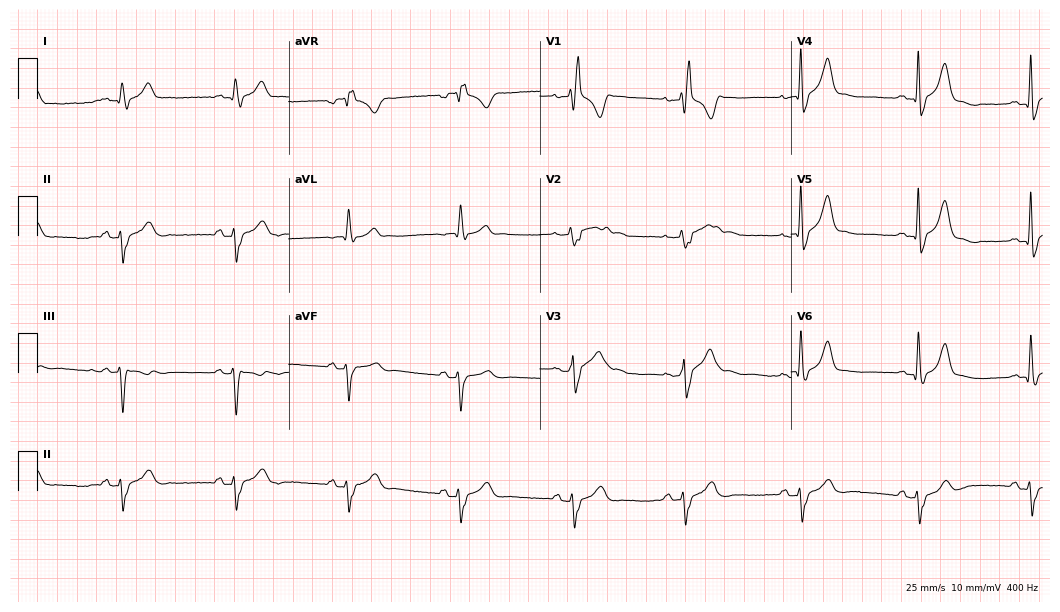
Resting 12-lead electrocardiogram (10.2-second recording at 400 Hz). Patient: a 41-year-old male. The tracing shows right bundle branch block.